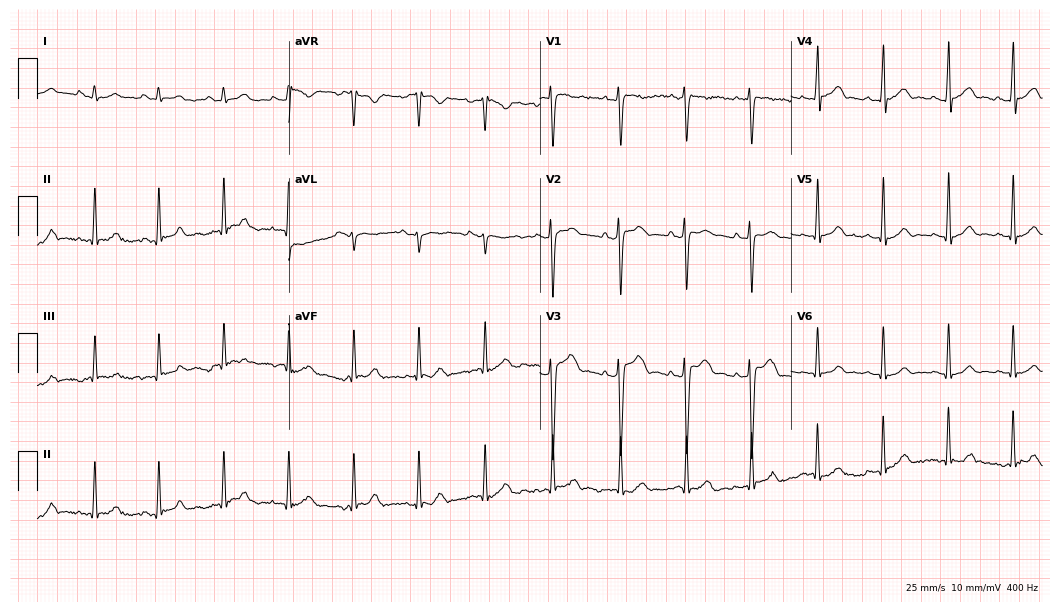
Resting 12-lead electrocardiogram. Patient: a 22-year-old man. Read as a normal ECG.